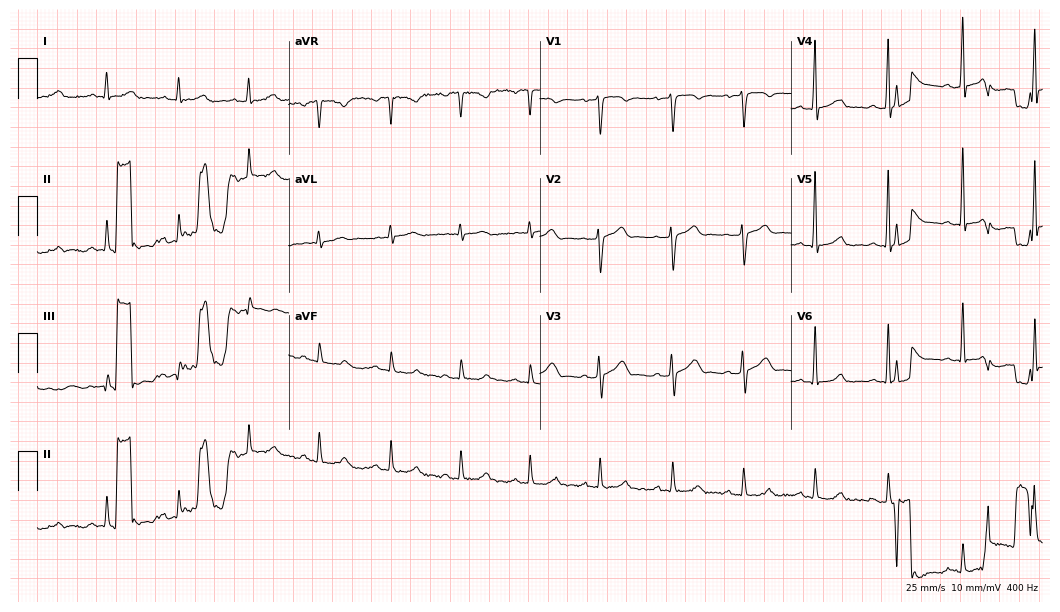
12-lead ECG from a man, 35 years old (10.2-second recording at 400 Hz). No first-degree AV block, right bundle branch block, left bundle branch block, sinus bradycardia, atrial fibrillation or sinus tachycardia recorded for this tracing. Other findings, if any, are not listed.